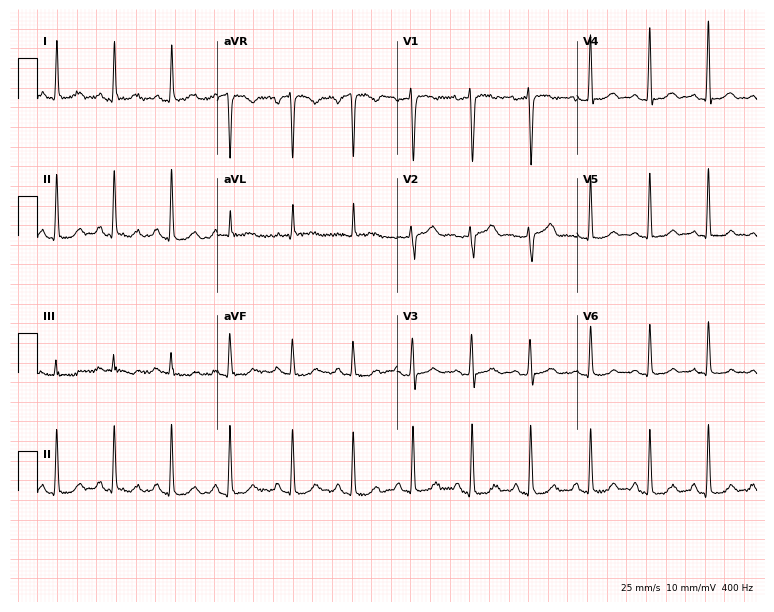
12-lead ECG from a female, 33 years old (7.3-second recording at 400 Hz). Recorded interpretation: within normal limits.